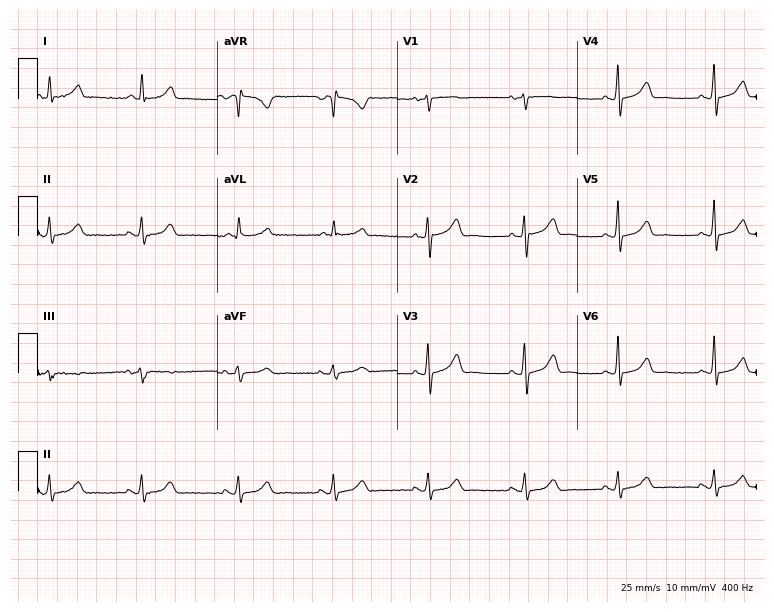
Resting 12-lead electrocardiogram (7.3-second recording at 400 Hz). Patient: a female, 61 years old. None of these six findings is recorded: first-degree AV block, right bundle branch block, left bundle branch block, sinus bradycardia, atrial fibrillation, sinus tachycardia.